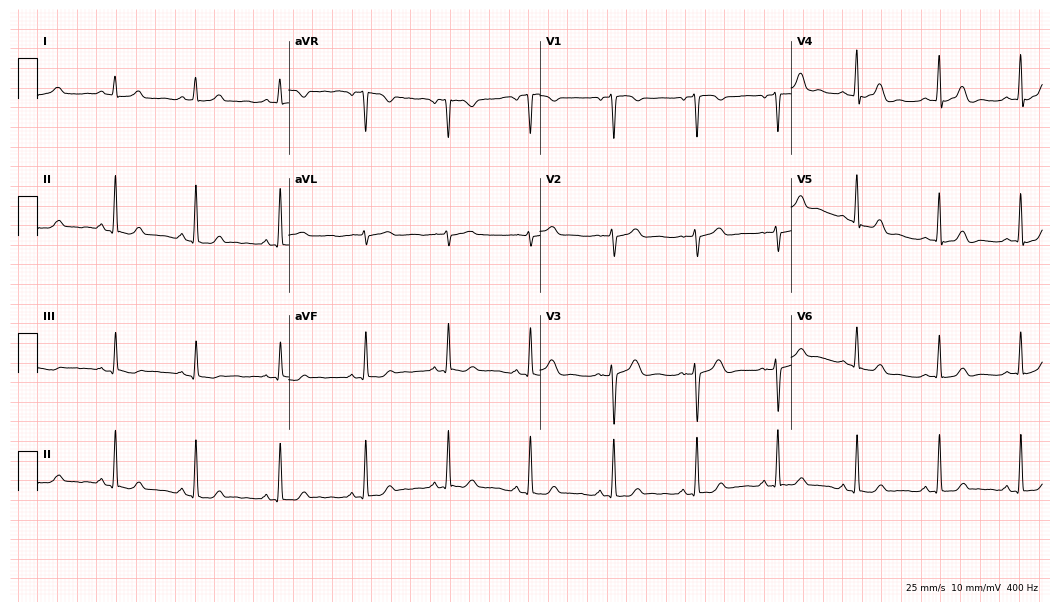
12-lead ECG from a 33-year-old female. Labelled as a normal ECG.